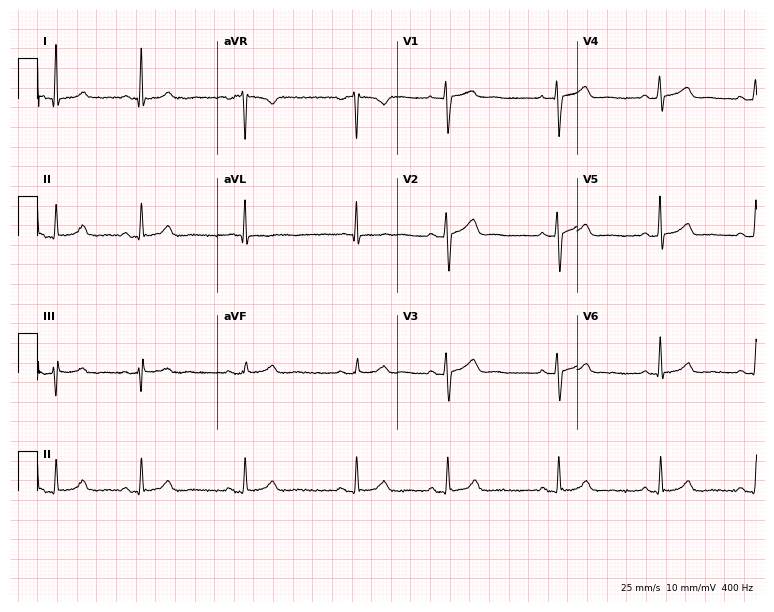
12-lead ECG from a 37-year-old female patient. Screened for six findings — first-degree AV block, right bundle branch block (RBBB), left bundle branch block (LBBB), sinus bradycardia, atrial fibrillation (AF), sinus tachycardia — none is recorded. Other findings, if any, are not listed.